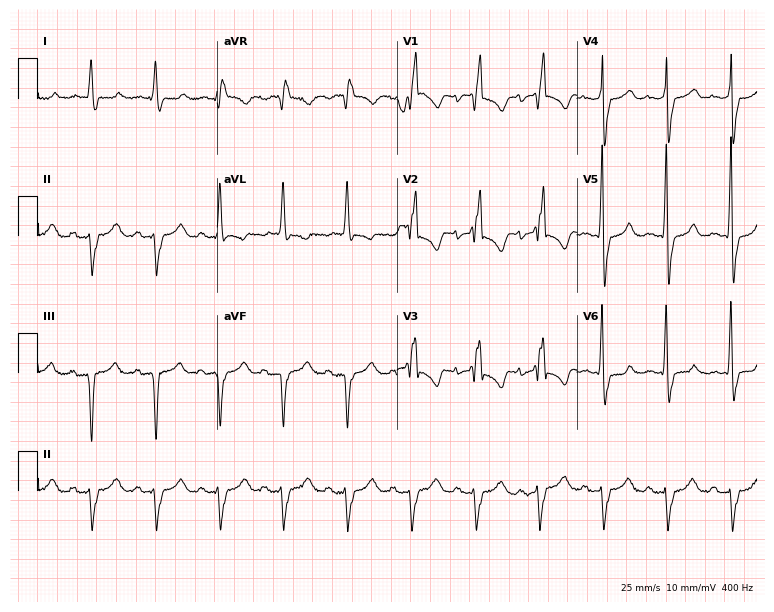
Standard 12-lead ECG recorded from an 85-year-old female. The tracing shows right bundle branch block.